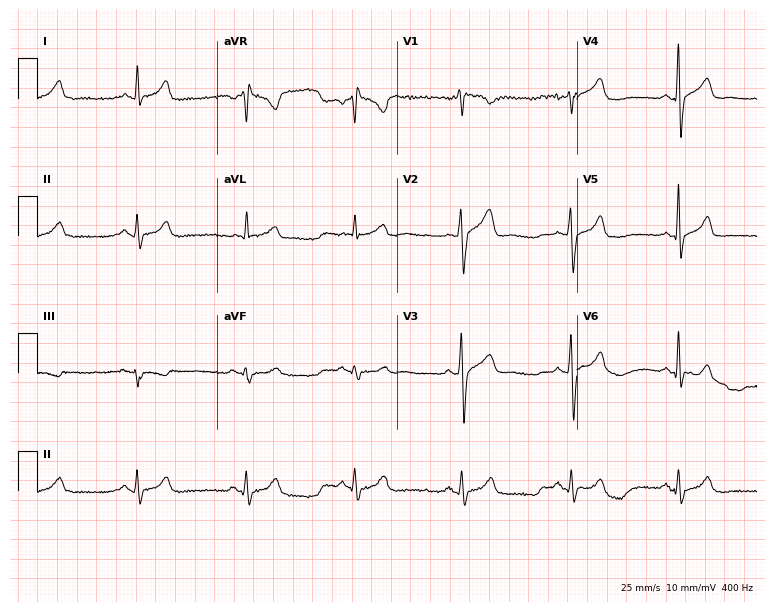
12-lead ECG (7.3-second recording at 400 Hz) from a 44-year-old male patient. Labelled as a normal ECG.